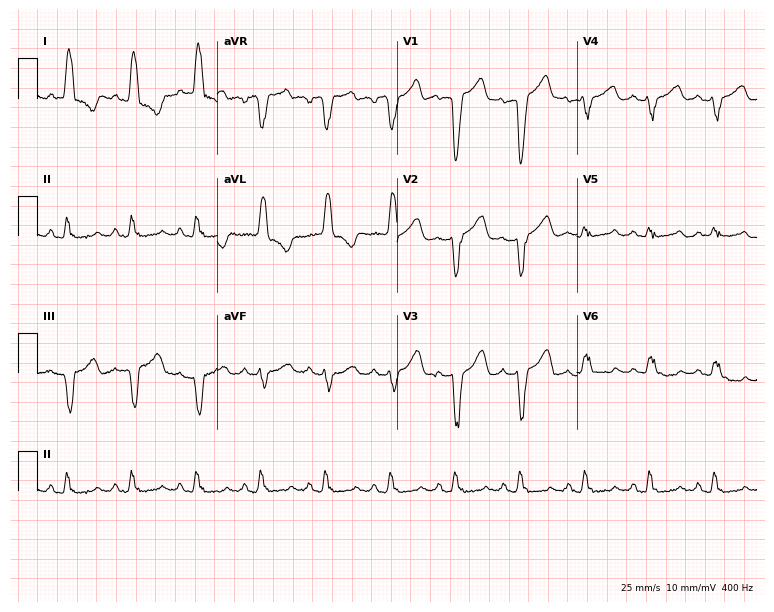
12-lead ECG from a female patient, 71 years old (7.3-second recording at 400 Hz). Shows left bundle branch block (LBBB).